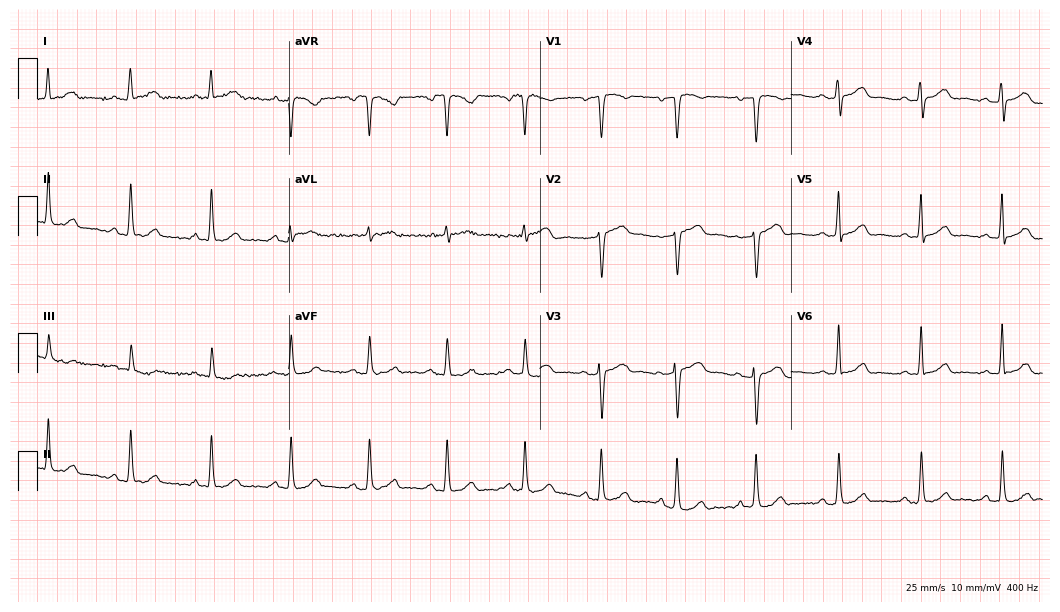
Standard 12-lead ECG recorded from a female, 49 years old (10.2-second recording at 400 Hz). Read as a normal ECG.